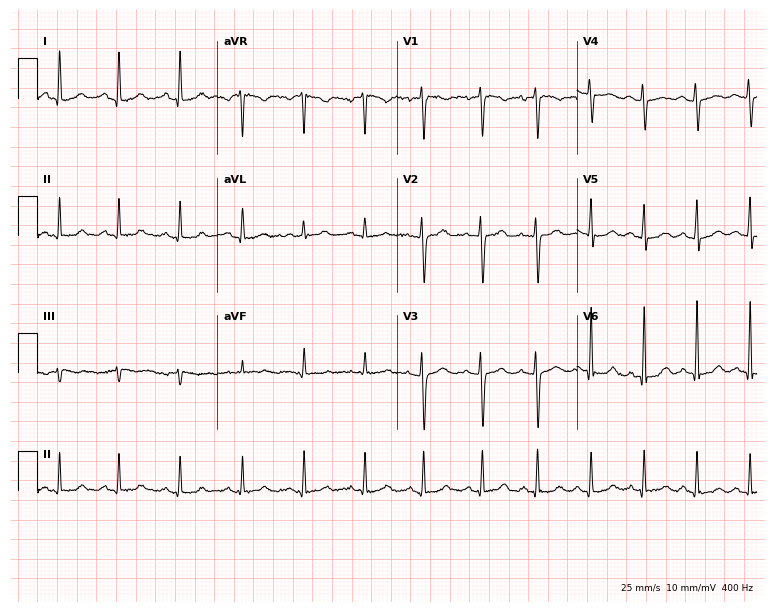
Standard 12-lead ECG recorded from a woman, 30 years old (7.3-second recording at 400 Hz). The tracing shows sinus tachycardia (a sinus rate of 100 beats per minute or more).